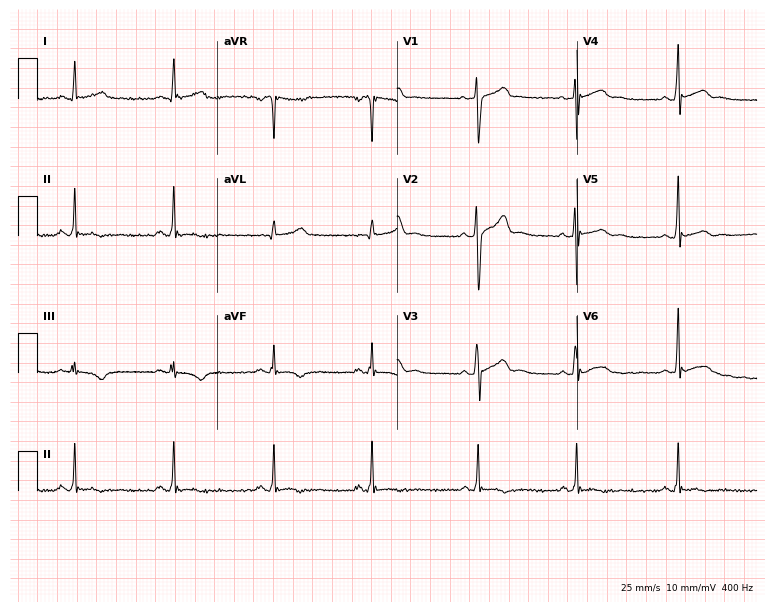
ECG (7.3-second recording at 400 Hz) — a man, 33 years old. Screened for six findings — first-degree AV block, right bundle branch block, left bundle branch block, sinus bradycardia, atrial fibrillation, sinus tachycardia — none is recorded. Only these six findings were labelled.